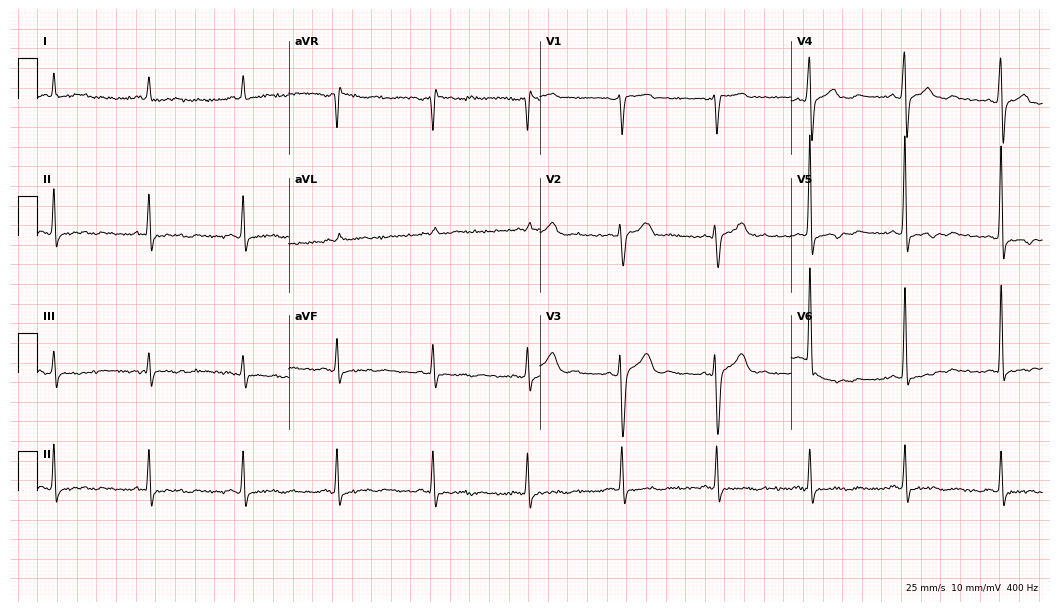
ECG — a 66-year-old male. Screened for six findings — first-degree AV block, right bundle branch block (RBBB), left bundle branch block (LBBB), sinus bradycardia, atrial fibrillation (AF), sinus tachycardia — none is recorded.